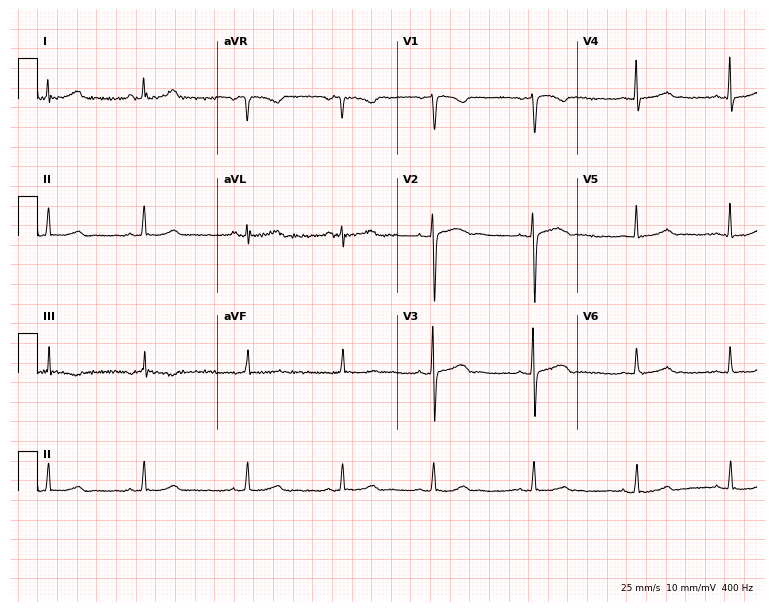
ECG (7.3-second recording at 400 Hz) — a 26-year-old male patient. Screened for six findings — first-degree AV block, right bundle branch block (RBBB), left bundle branch block (LBBB), sinus bradycardia, atrial fibrillation (AF), sinus tachycardia — none is recorded.